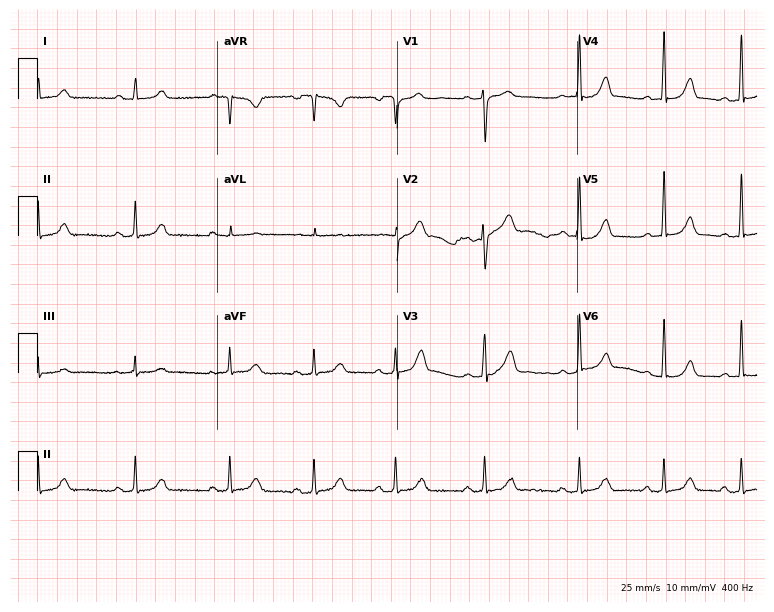
12-lead ECG (7.3-second recording at 400 Hz) from a female, 33 years old. Labelled as a normal ECG.